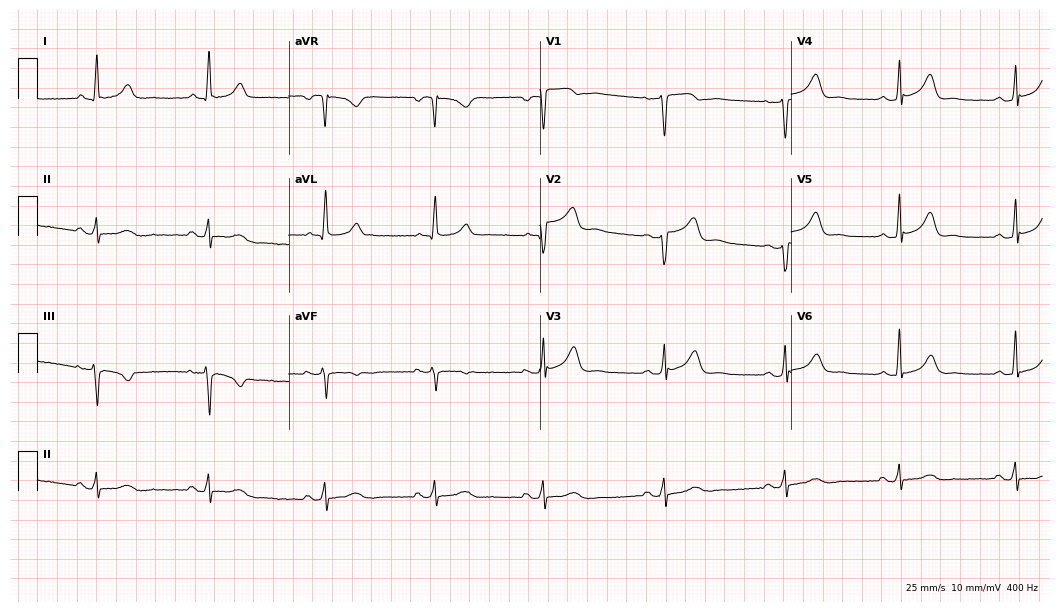
12-lead ECG (10.2-second recording at 400 Hz) from a female patient, 60 years old. Labelled as a normal ECG.